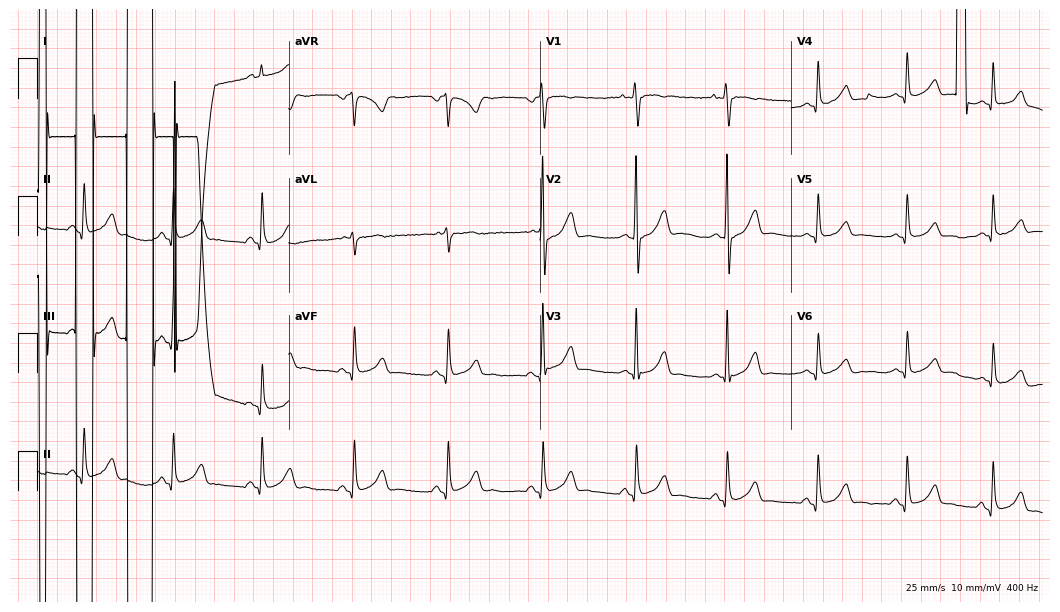
12-lead ECG from a 17-year-old male patient. No first-degree AV block, right bundle branch block, left bundle branch block, sinus bradycardia, atrial fibrillation or sinus tachycardia recorded for this tracing. Only these six findings were labelled.